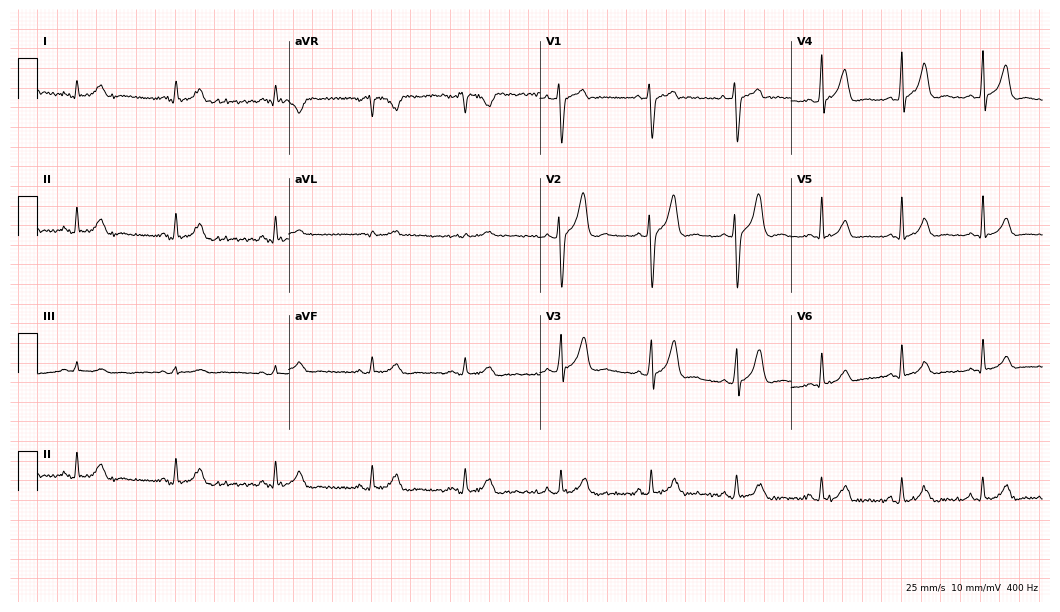
12-lead ECG from a male patient, 30 years old. Labelled as a normal ECG.